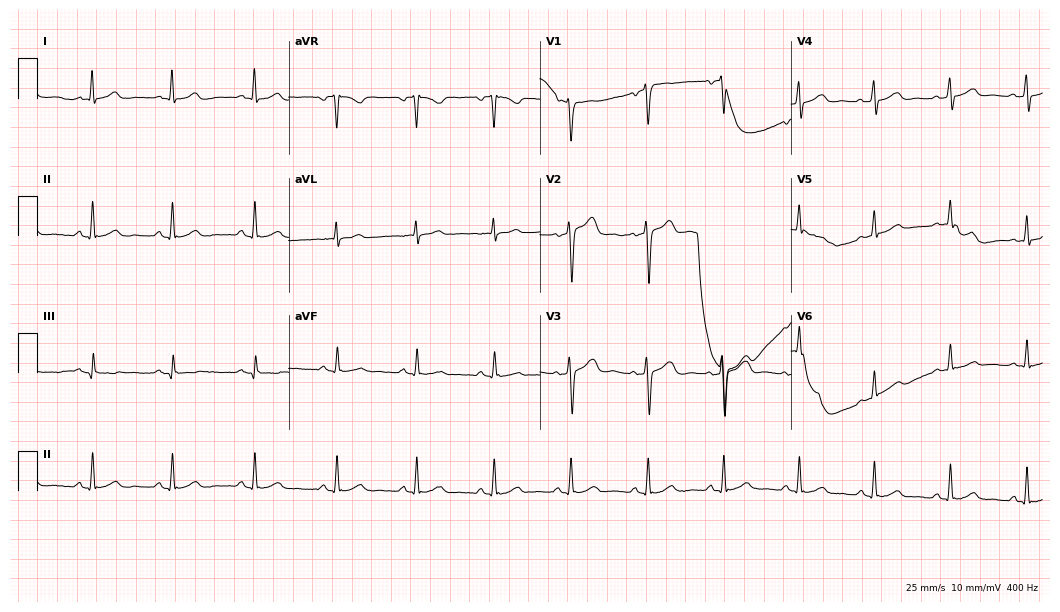
Resting 12-lead electrocardiogram. Patient: a 44-year-old female. Read as a normal ECG.